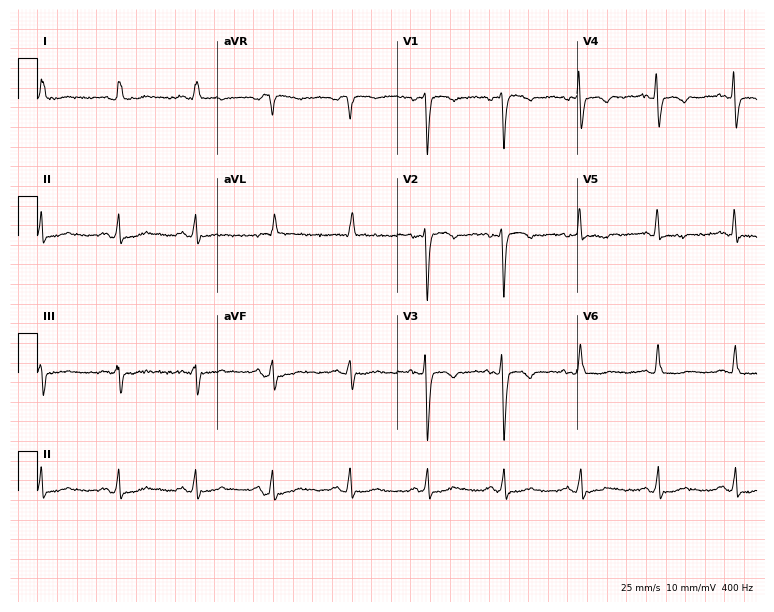
Standard 12-lead ECG recorded from an 80-year-old female (7.3-second recording at 400 Hz). None of these six findings is recorded: first-degree AV block, right bundle branch block, left bundle branch block, sinus bradycardia, atrial fibrillation, sinus tachycardia. Findings outside these six are not listed.